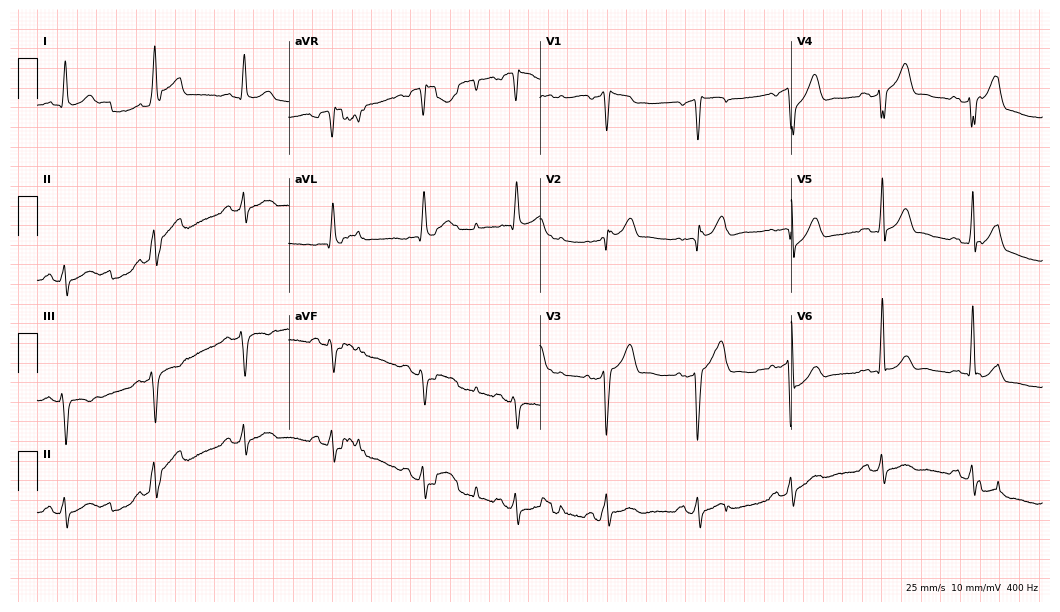
Resting 12-lead electrocardiogram. Patient: a man, 65 years old. None of these six findings is recorded: first-degree AV block, right bundle branch block, left bundle branch block, sinus bradycardia, atrial fibrillation, sinus tachycardia.